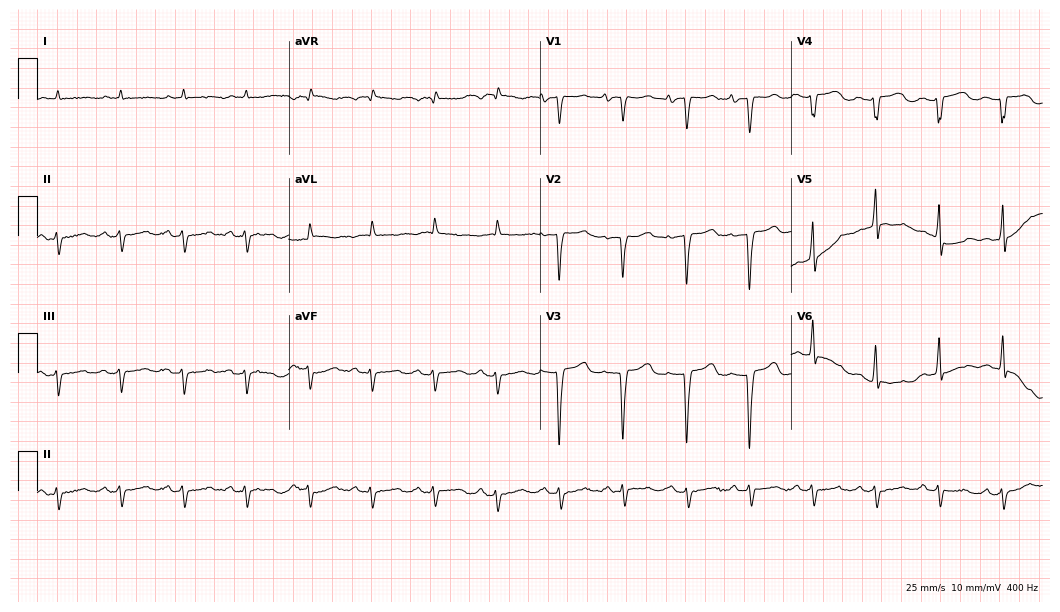
ECG (10.2-second recording at 400 Hz) — a 73-year-old male. Screened for six findings — first-degree AV block, right bundle branch block, left bundle branch block, sinus bradycardia, atrial fibrillation, sinus tachycardia — none is recorded. Only these six findings were labelled.